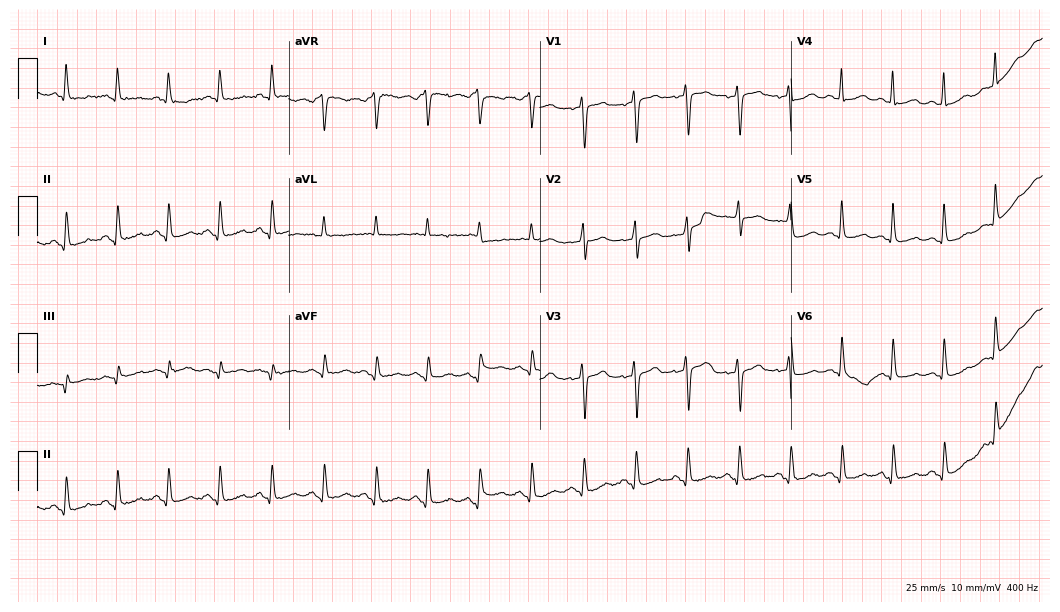
Standard 12-lead ECG recorded from a 50-year-old female patient (10.2-second recording at 400 Hz). The tracing shows sinus tachycardia (a sinus rate of 100 beats per minute or more).